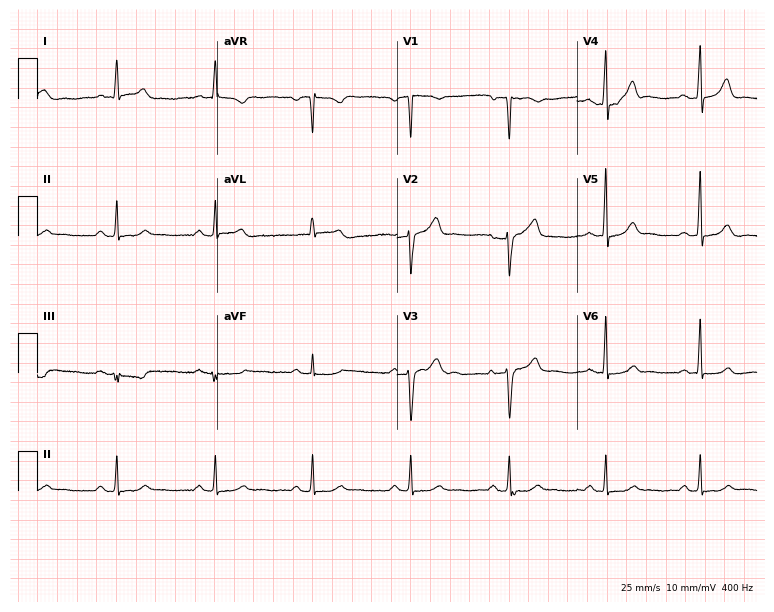
Electrocardiogram, a 73-year-old man. Overall reading on record: normal ECG.